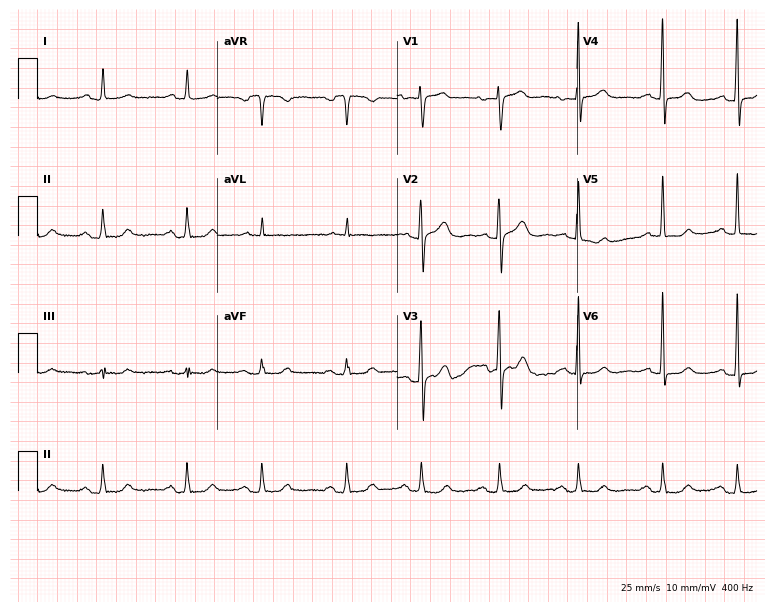
Electrocardiogram, a 59-year-old female patient. Of the six screened findings (first-degree AV block, right bundle branch block (RBBB), left bundle branch block (LBBB), sinus bradycardia, atrial fibrillation (AF), sinus tachycardia), none is recorded. Findings outside these six are not listed.